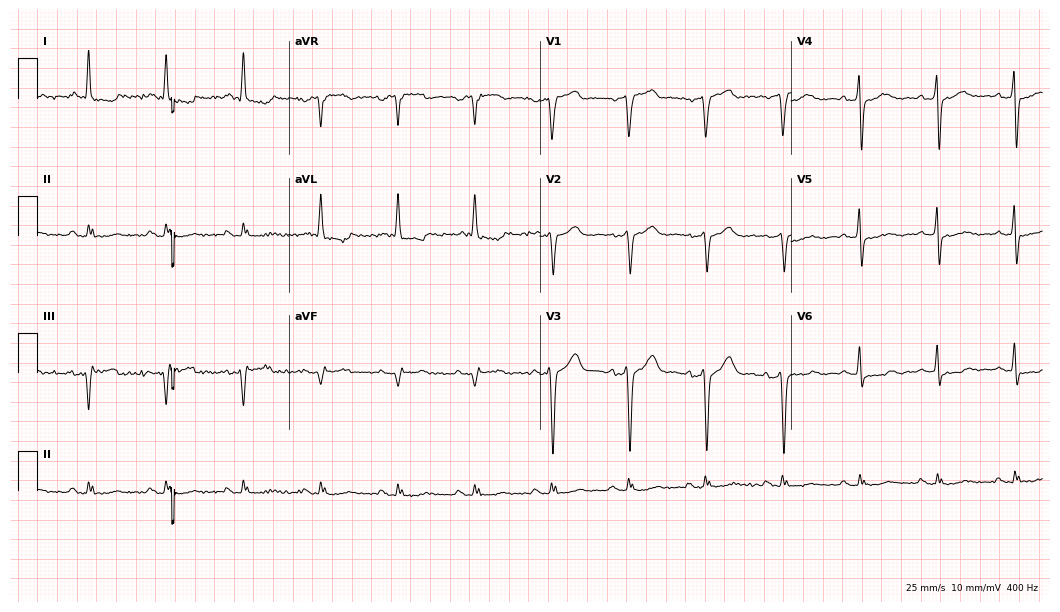
Electrocardiogram, a 68-year-old male patient. Of the six screened findings (first-degree AV block, right bundle branch block, left bundle branch block, sinus bradycardia, atrial fibrillation, sinus tachycardia), none is recorded.